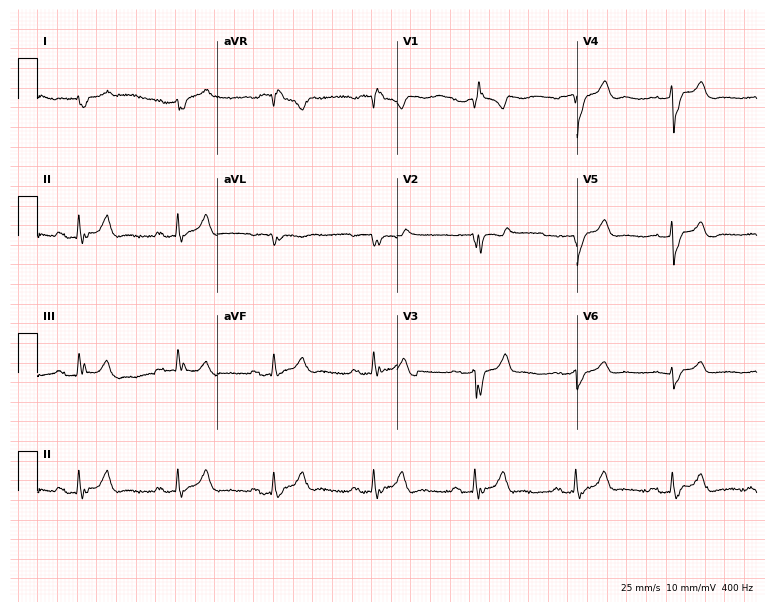
12-lead ECG from a 60-year-old male patient. Findings include right bundle branch block.